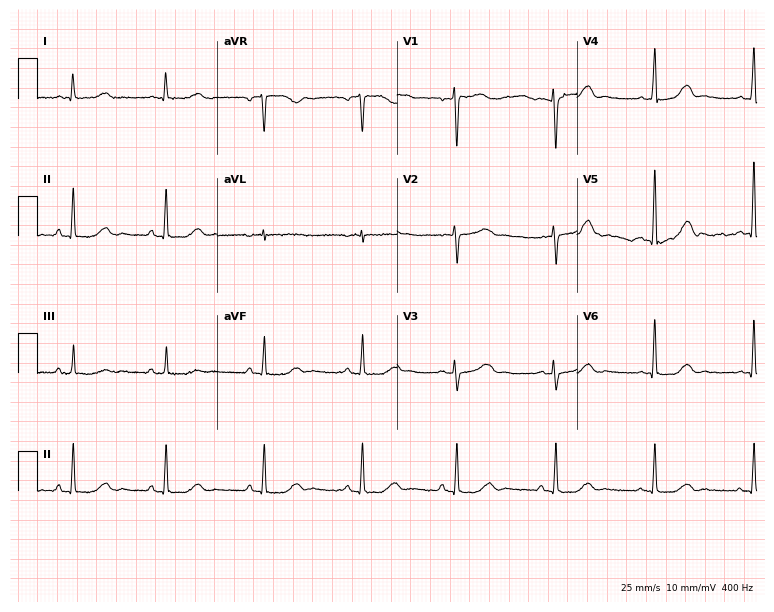
12-lead ECG from a woman, 55 years old. Screened for six findings — first-degree AV block, right bundle branch block (RBBB), left bundle branch block (LBBB), sinus bradycardia, atrial fibrillation (AF), sinus tachycardia — none is recorded. Findings outside these six are not listed.